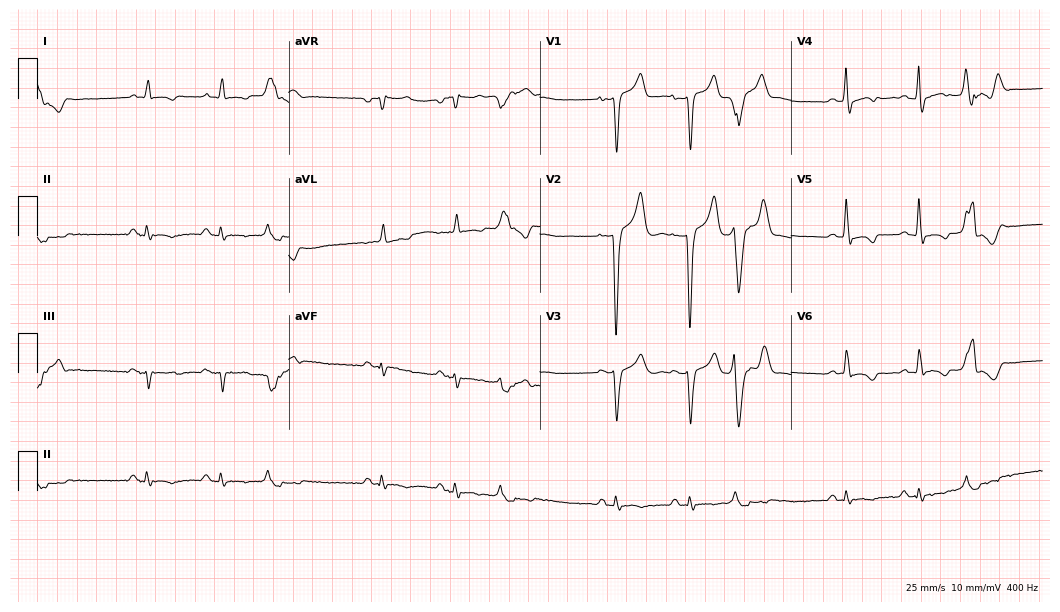
Resting 12-lead electrocardiogram. Patient: a man, 57 years old. None of these six findings is recorded: first-degree AV block, right bundle branch block, left bundle branch block, sinus bradycardia, atrial fibrillation, sinus tachycardia.